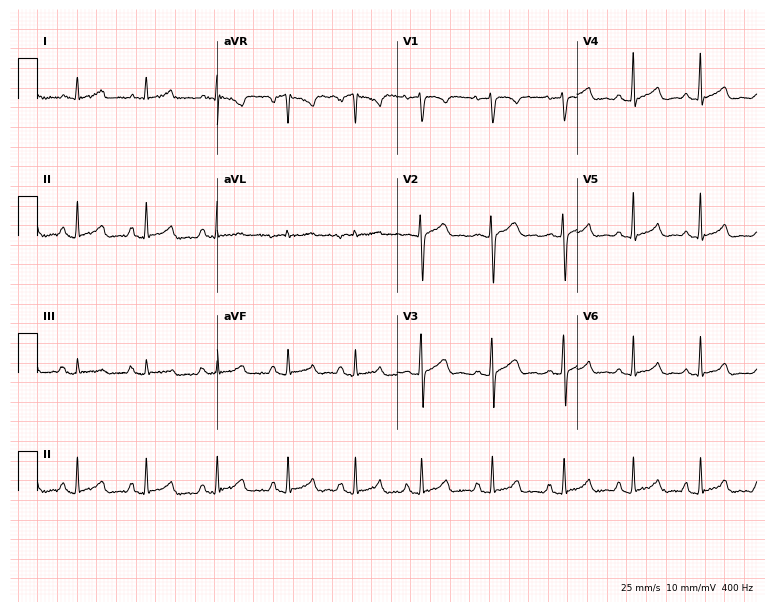
Standard 12-lead ECG recorded from a female patient, 21 years old (7.3-second recording at 400 Hz). Read as a normal ECG.